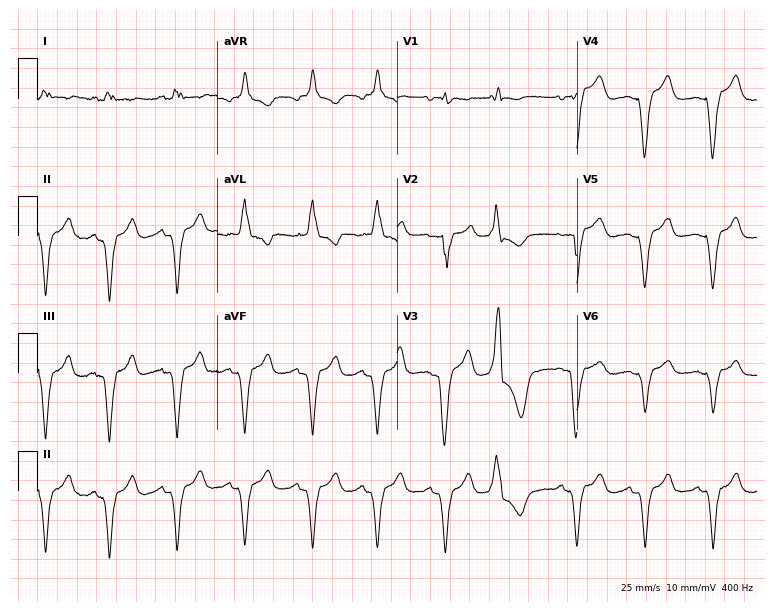
Standard 12-lead ECG recorded from a female patient, 59 years old (7.3-second recording at 400 Hz). None of these six findings is recorded: first-degree AV block, right bundle branch block (RBBB), left bundle branch block (LBBB), sinus bradycardia, atrial fibrillation (AF), sinus tachycardia.